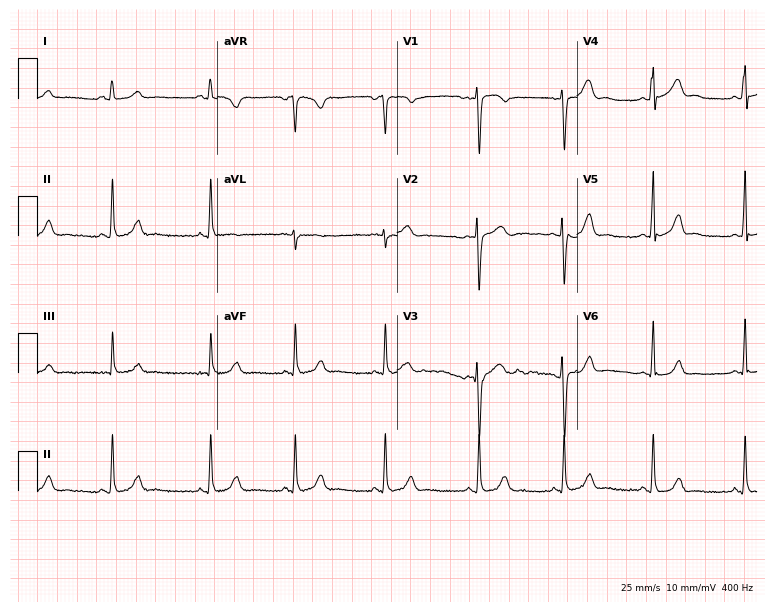
12-lead ECG from a female, 23 years old. Labelled as a normal ECG.